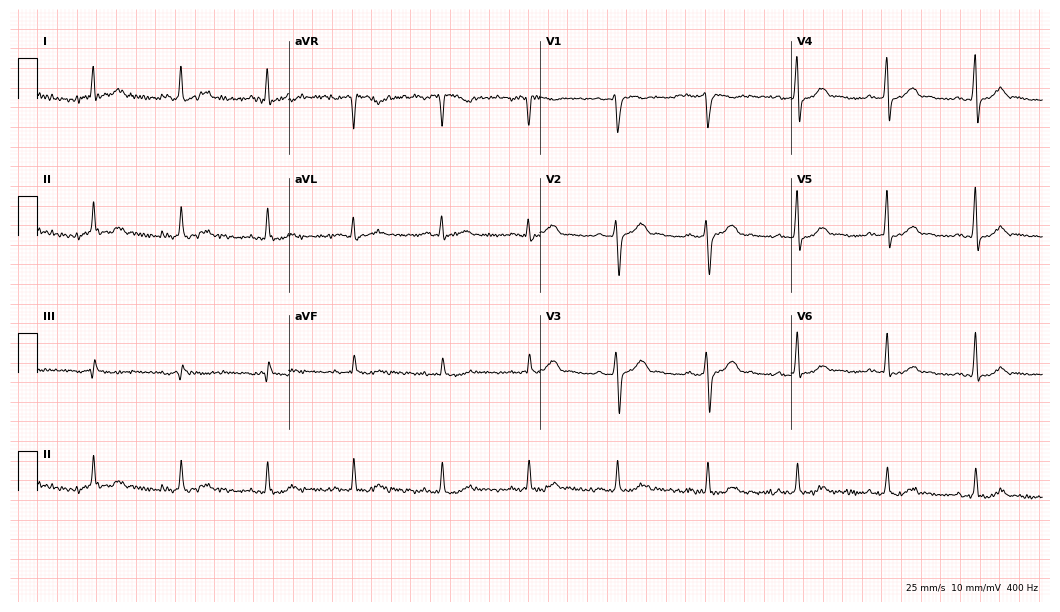
Standard 12-lead ECG recorded from a 34-year-old male patient (10.2-second recording at 400 Hz). None of these six findings is recorded: first-degree AV block, right bundle branch block, left bundle branch block, sinus bradycardia, atrial fibrillation, sinus tachycardia. Only these six findings were labelled.